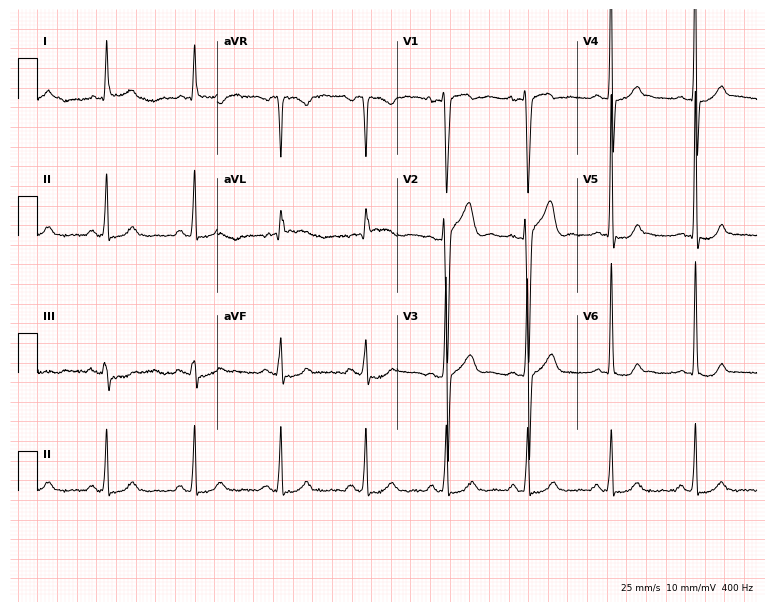
Resting 12-lead electrocardiogram (7.3-second recording at 400 Hz). Patient: a male, 37 years old. None of these six findings is recorded: first-degree AV block, right bundle branch block, left bundle branch block, sinus bradycardia, atrial fibrillation, sinus tachycardia. Only these six findings were labelled.